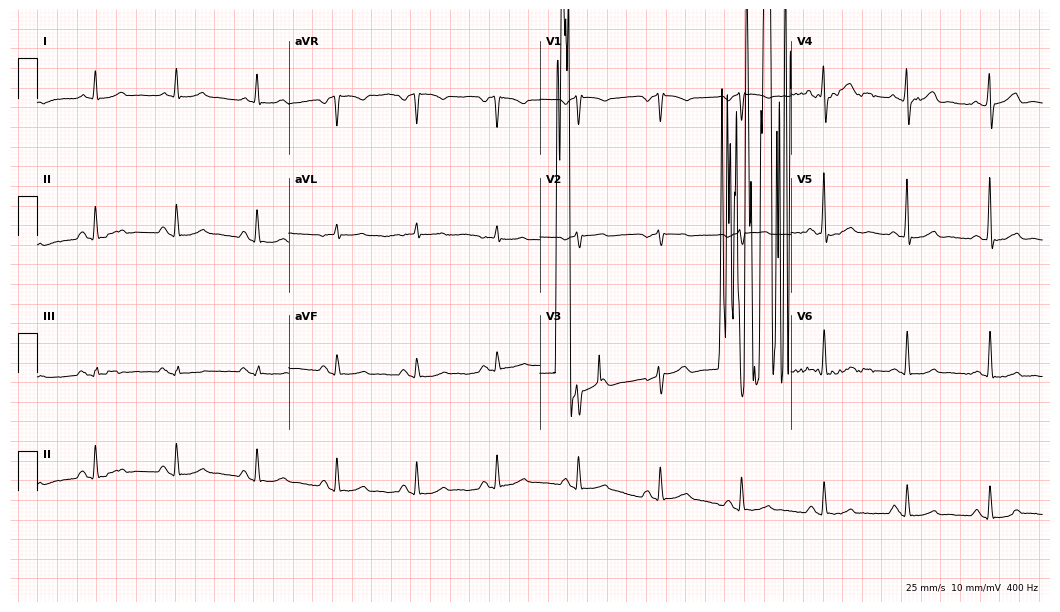
12-lead ECG from a male, 55 years old (10.2-second recording at 400 Hz). No first-degree AV block, right bundle branch block, left bundle branch block, sinus bradycardia, atrial fibrillation or sinus tachycardia recorded for this tracing. Findings outside these six are not listed.